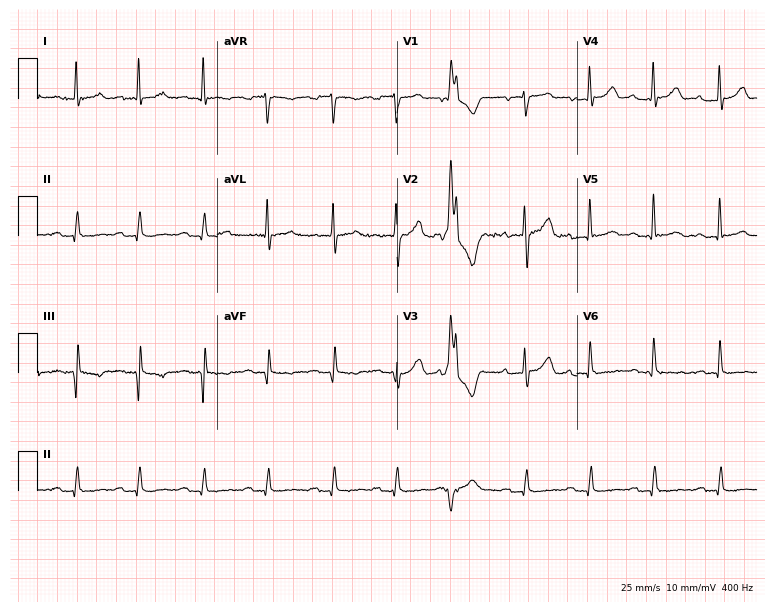
12-lead ECG from a male patient, 75 years old. Recorded interpretation: within normal limits.